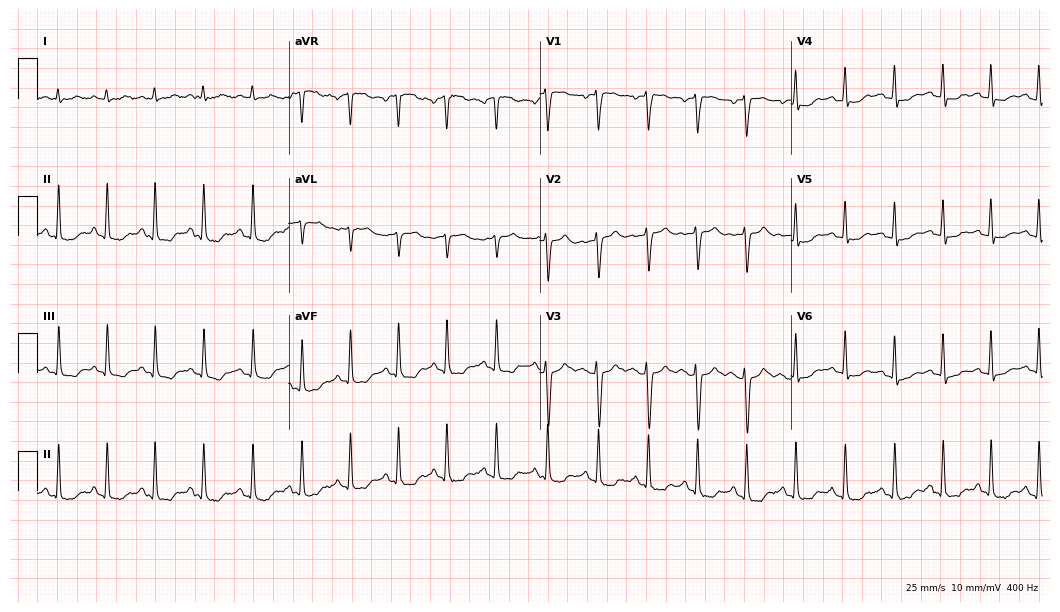
Standard 12-lead ECG recorded from a 24-year-old woman (10.2-second recording at 400 Hz). The tracing shows sinus tachycardia (a sinus rate of 100 beats per minute or more).